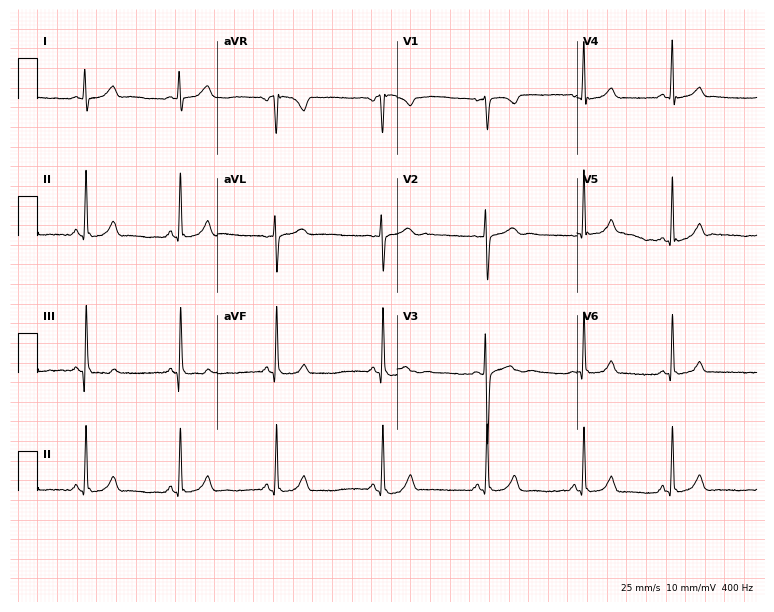
Electrocardiogram, a woman, 22 years old. Overall reading on record: normal ECG.